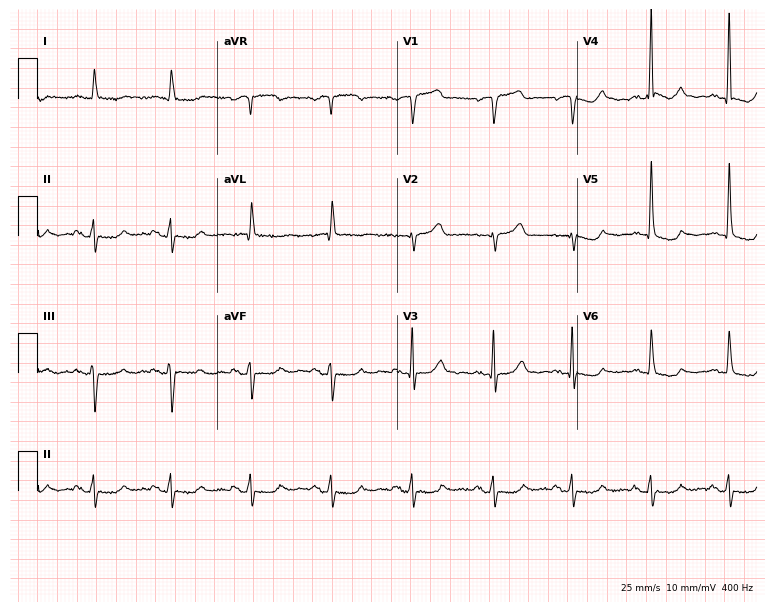
12-lead ECG from a 75-year-old female. Screened for six findings — first-degree AV block, right bundle branch block, left bundle branch block, sinus bradycardia, atrial fibrillation, sinus tachycardia — none is recorded. Only these six findings were labelled.